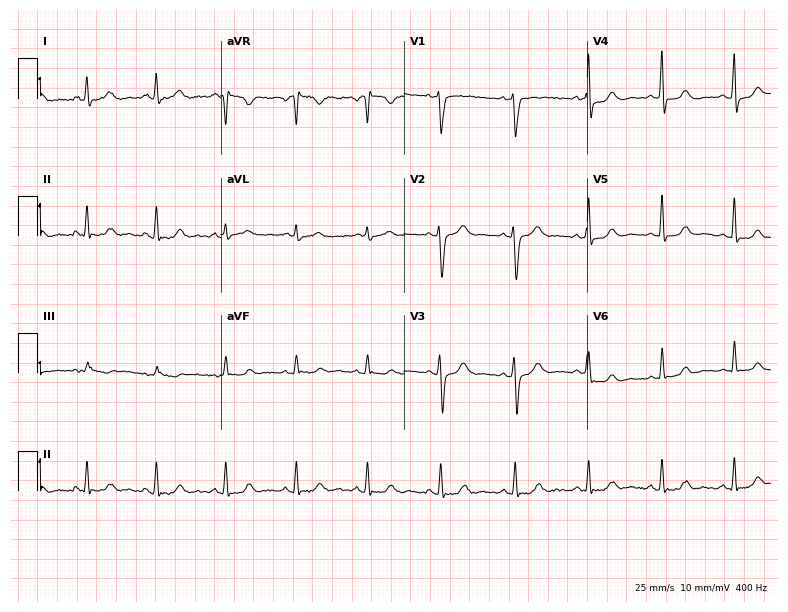
Resting 12-lead electrocardiogram (7.5-second recording at 400 Hz). Patient: a woman, 36 years old. Read as a normal ECG.